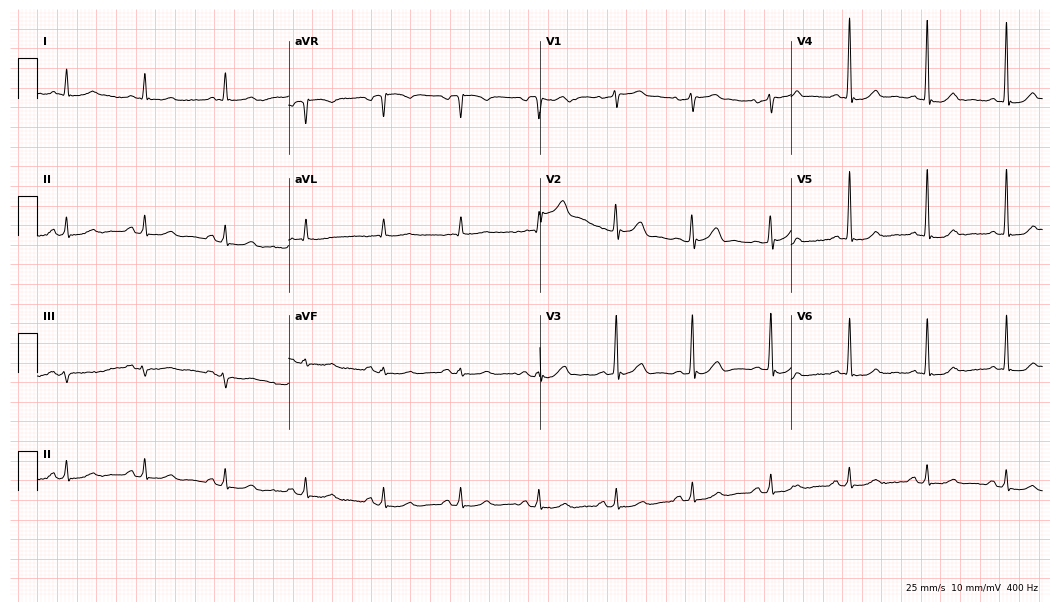
12-lead ECG from a 76-year-old male. Labelled as a normal ECG.